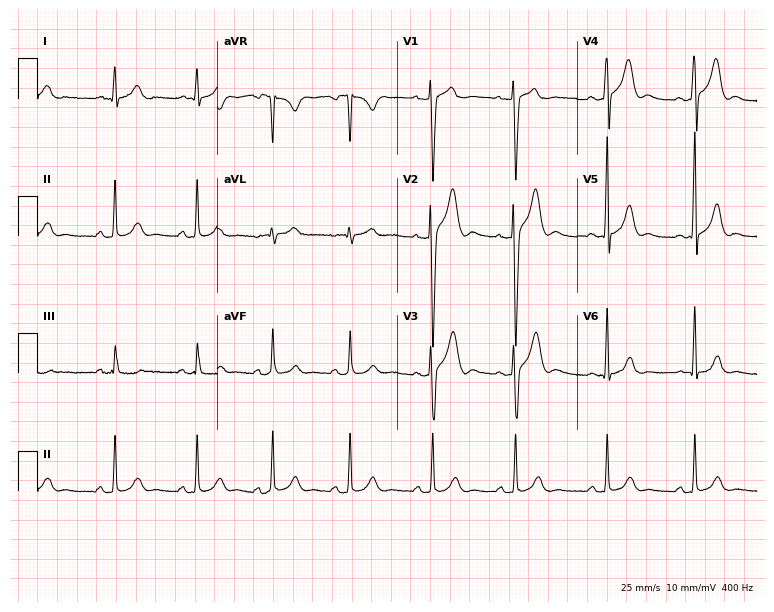
Standard 12-lead ECG recorded from a 29-year-old man. None of these six findings is recorded: first-degree AV block, right bundle branch block, left bundle branch block, sinus bradycardia, atrial fibrillation, sinus tachycardia.